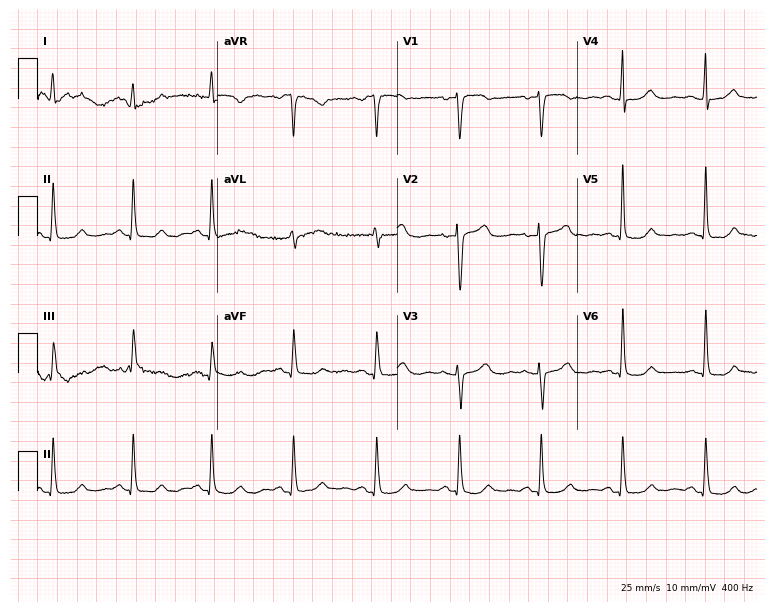
Electrocardiogram (7.3-second recording at 400 Hz), a woman, 55 years old. Of the six screened findings (first-degree AV block, right bundle branch block (RBBB), left bundle branch block (LBBB), sinus bradycardia, atrial fibrillation (AF), sinus tachycardia), none is recorded. Only these six findings were labelled.